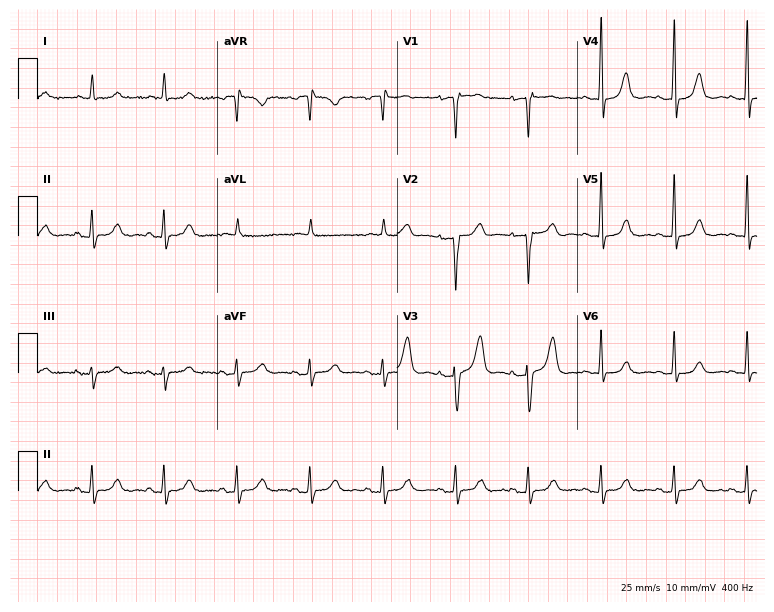
Electrocardiogram, a female patient, 83 years old. Overall reading on record: normal ECG.